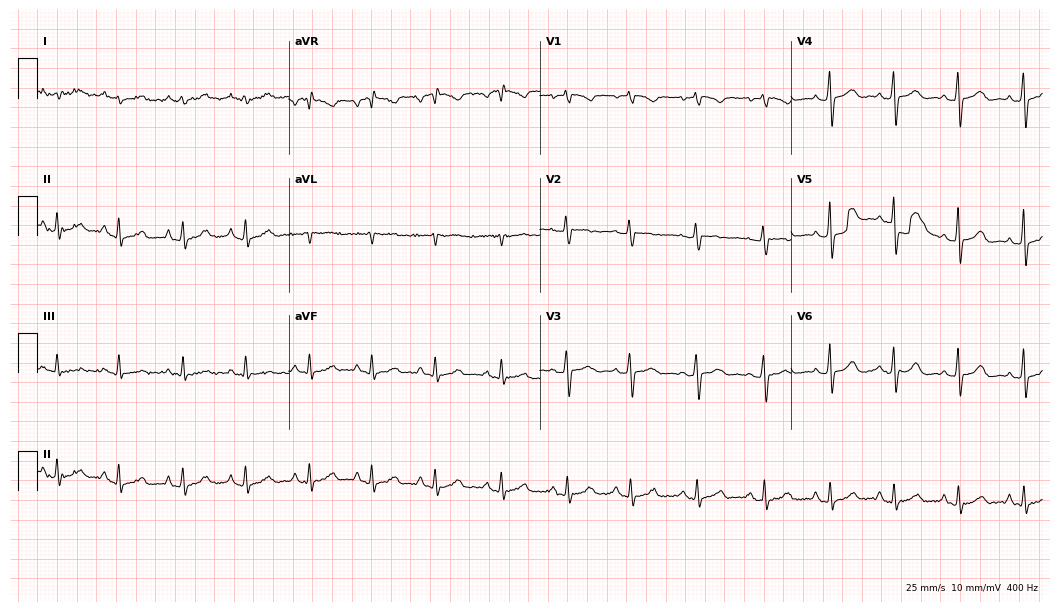
12-lead ECG from a female, 34 years old. Screened for six findings — first-degree AV block, right bundle branch block, left bundle branch block, sinus bradycardia, atrial fibrillation, sinus tachycardia — none is recorded. Only these six findings were labelled.